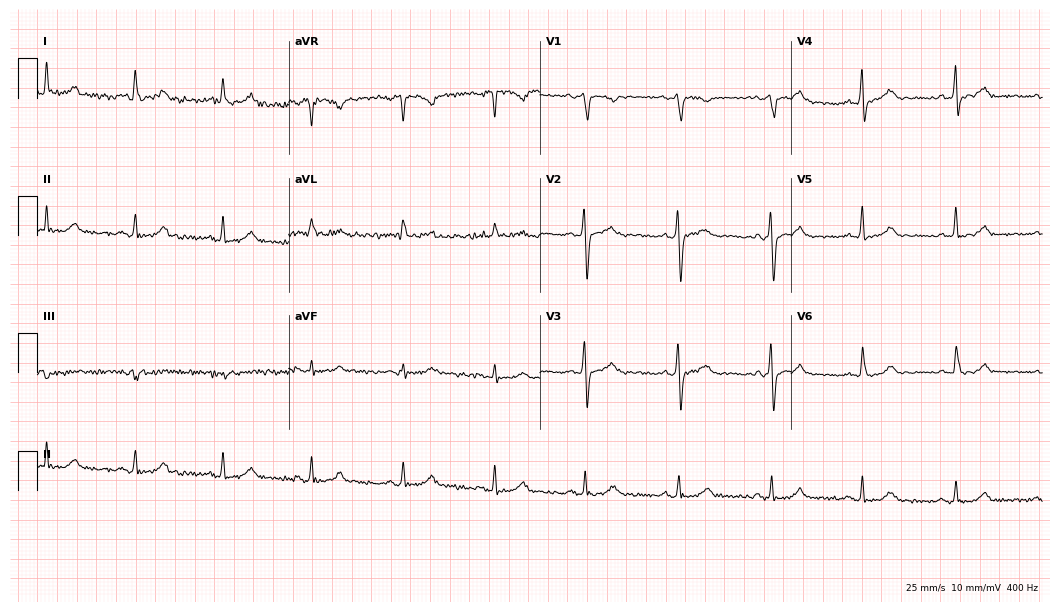
ECG — a 69-year-old woman. Screened for six findings — first-degree AV block, right bundle branch block, left bundle branch block, sinus bradycardia, atrial fibrillation, sinus tachycardia — none is recorded. Other findings, if any, are not listed.